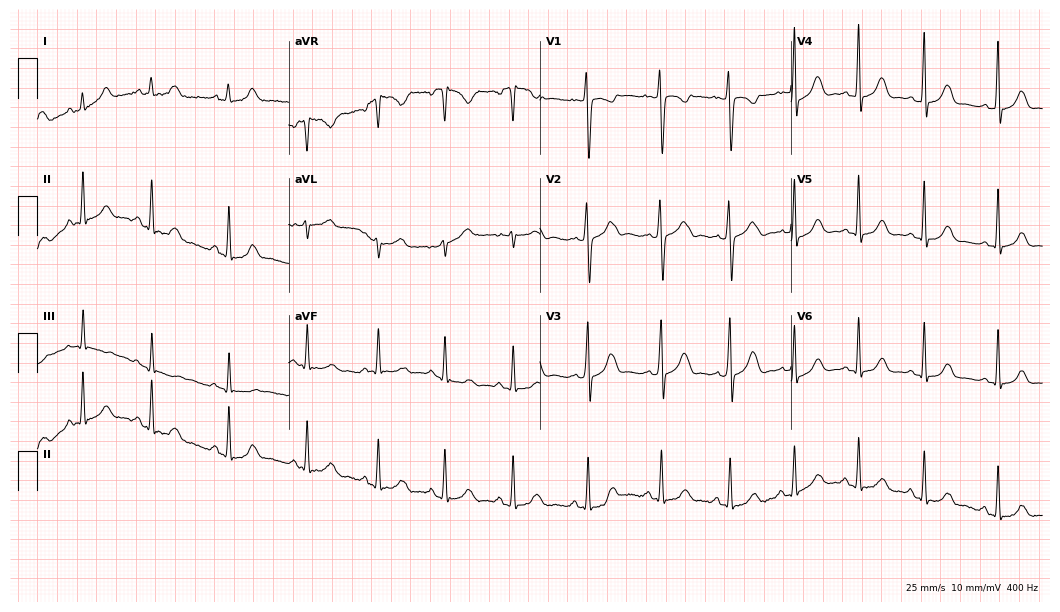
12-lead ECG from a 21-year-old female patient (10.2-second recording at 400 Hz). No first-degree AV block, right bundle branch block (RBBB), left bundle branch block (LBBB), sinus bradycardia, atrial fibrillation (AF) or sinus tachycardia recorded for this tracing.